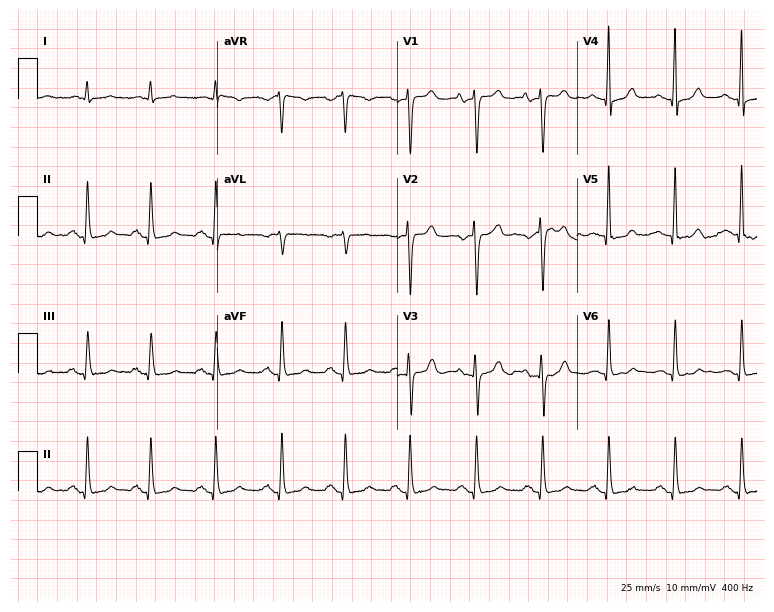
Standard 12-lead ECG recorded from a female, 69 years old (7.3-second recording at 400 Hz). Read as a normal ECG.